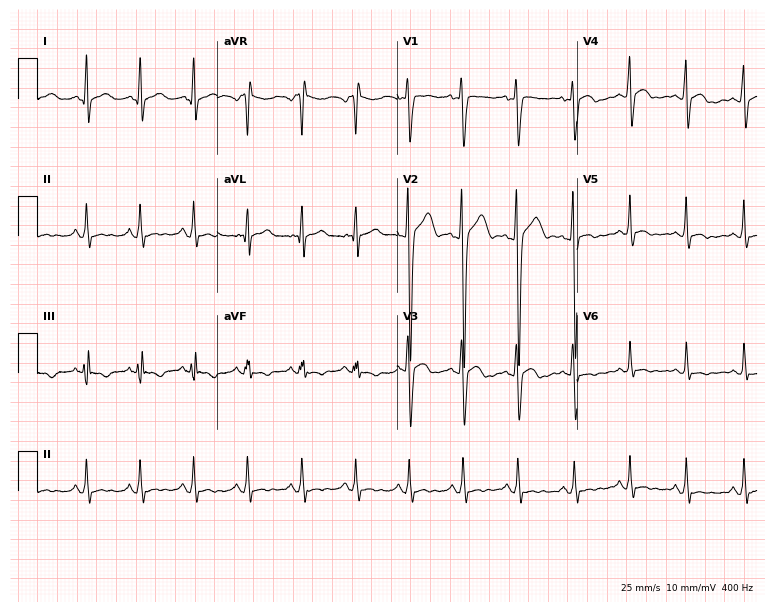
12-lead ECG from a man, 18 years old (7.3-second recording at 400 Hz). Shows sinus tachycardia (a sinus rate of 100 beats per minute or more).